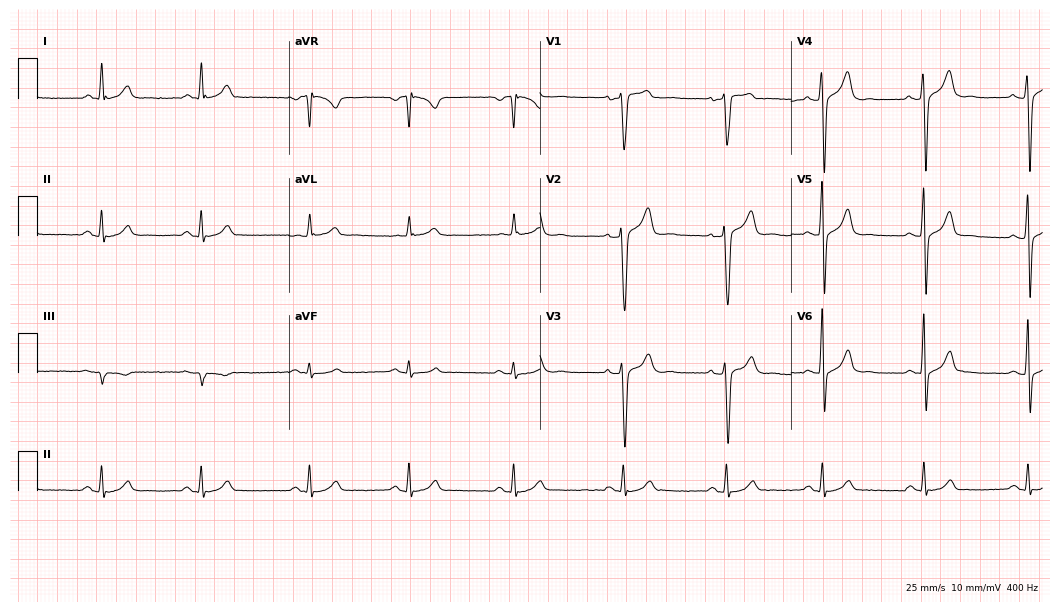
12-lead ECG from a 31-year-old male patient. Recorded interpretation: within normal limits.